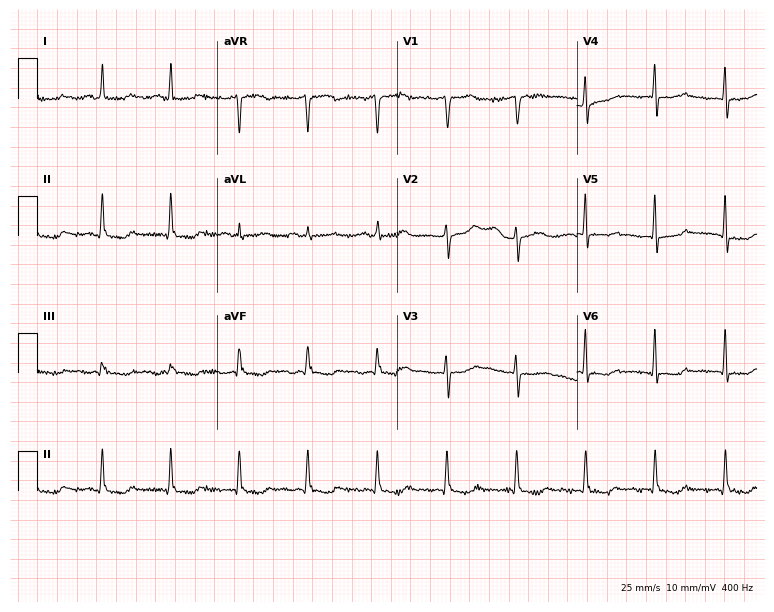
ECG — a 56-year-old woman. Screened for six findings — first-degree AV block, right bundle branch block, left bundle branch block, sinus bradycardia, atrial fibrillation, sinus tachycardia — none is recorded.